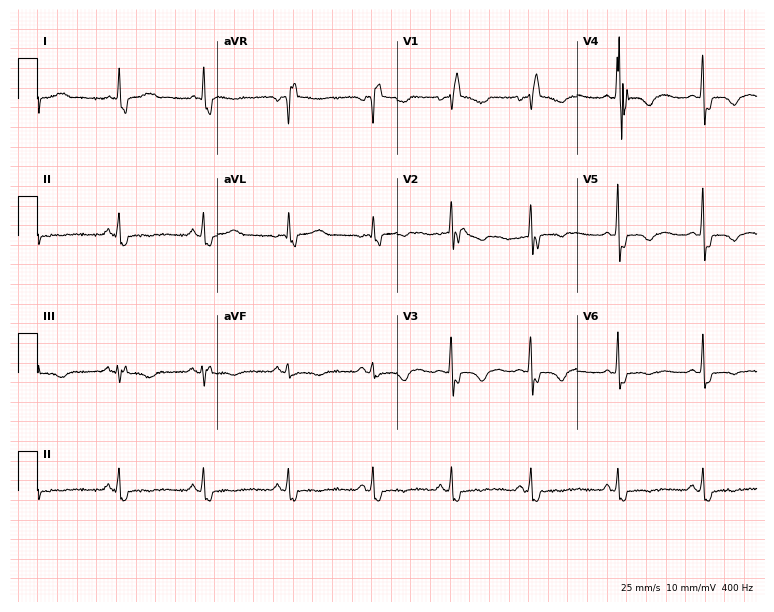
Standard 12-lead ECG recorded from a 47-year-old female patient (7.3-second recording at 400 Hz). The tracing shows right bundle branch block (RBBB).